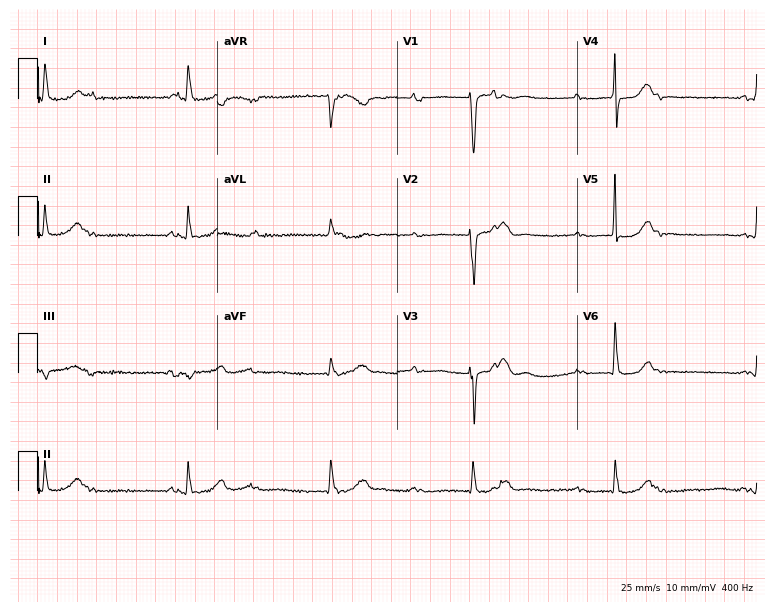
12-lead ECG from a 66-year-old woman. Screened for six findings — first-degree AV block, right bundle branch block, left bundle branch block, sinus bradycardia, atrial fibrillation, sinus tachycardia — none is recorded.